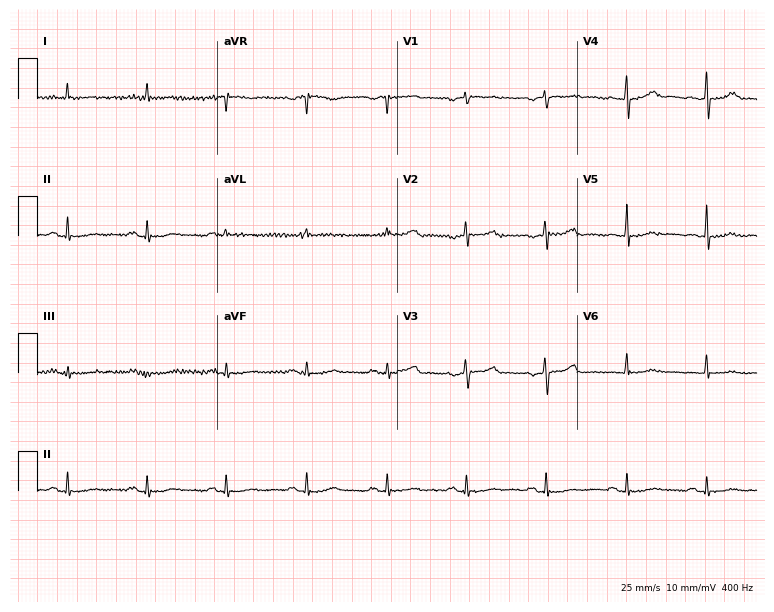
Resting 12-lead electrocardiogram. Patient: a 68-year-old female. None of these six findings is recorded: first-degree AV block, right bundle branch block, left bundle branch block, sinus bradycardia, atrial fibrillation, sinus tachycardia.